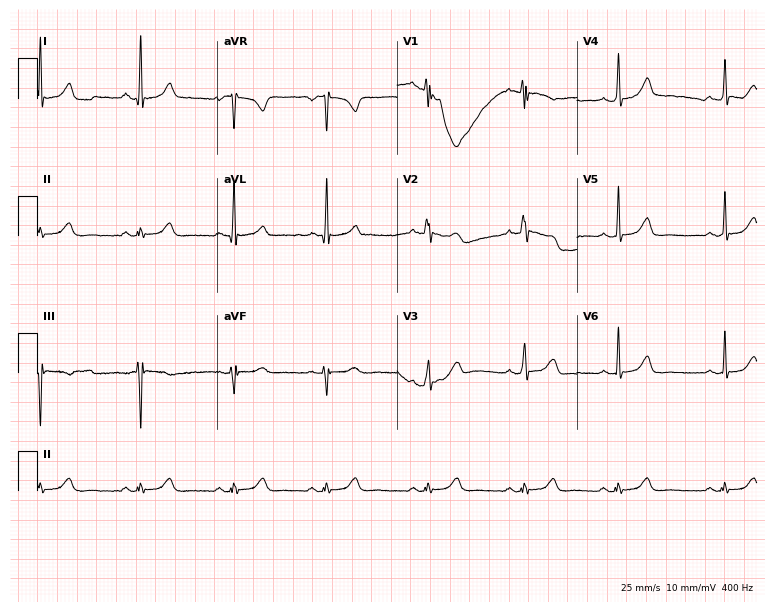
12-lead ECG (7.3-second recording at 400 Hz) from a 35-year-old female patient. Labelled as a normal ECG.